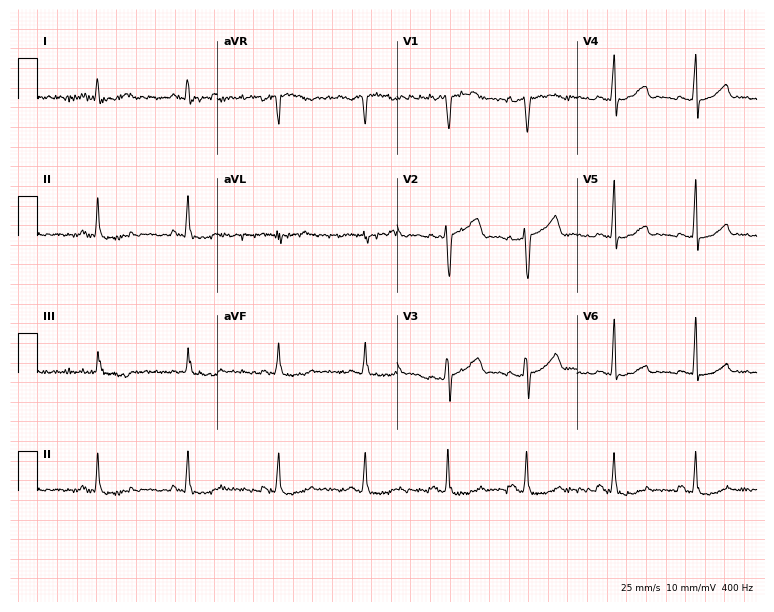
ECG — a 38-year-old female patient. Screened for six findings — first-degree AV block, right bundle branch block (RBBB), left bundle branch block (LBBB), sinus bradycardia, atrial fibrillation (AF), sinus tachycardia — none is recorded. Other findings, if any, are not listed.